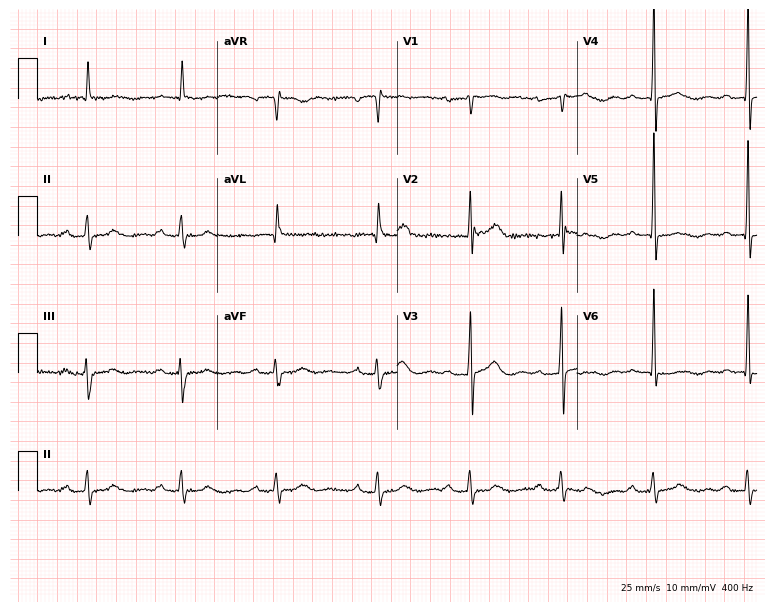
12-lead ECG from a male, 82 years old. Findings include first-degree AV block.